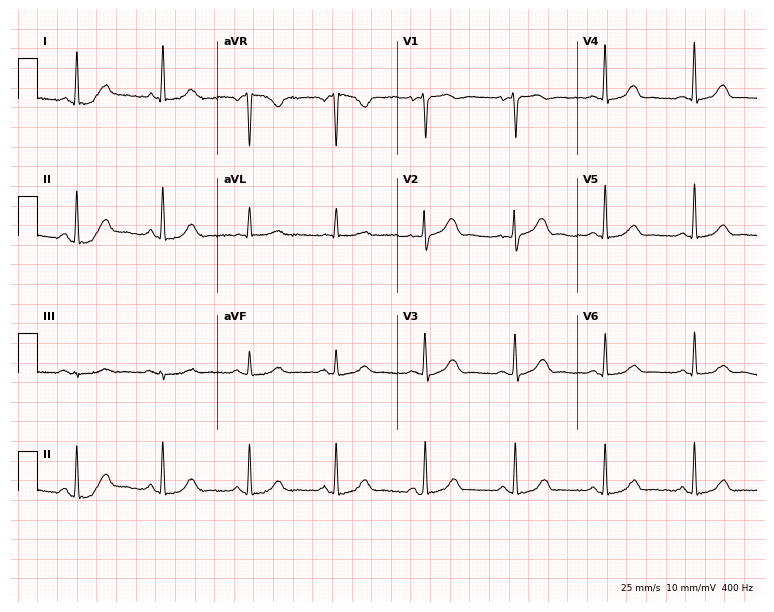
Resting 12-lead electrocardiogram. Patient: a 70-year-old female. None of these six findings is recorded: first-degree AV block, right bundle branch block, left bundle branch block, sinus bradycardia, atrial fibrillation, sinus tachycardia. Only these six findings were labelled.